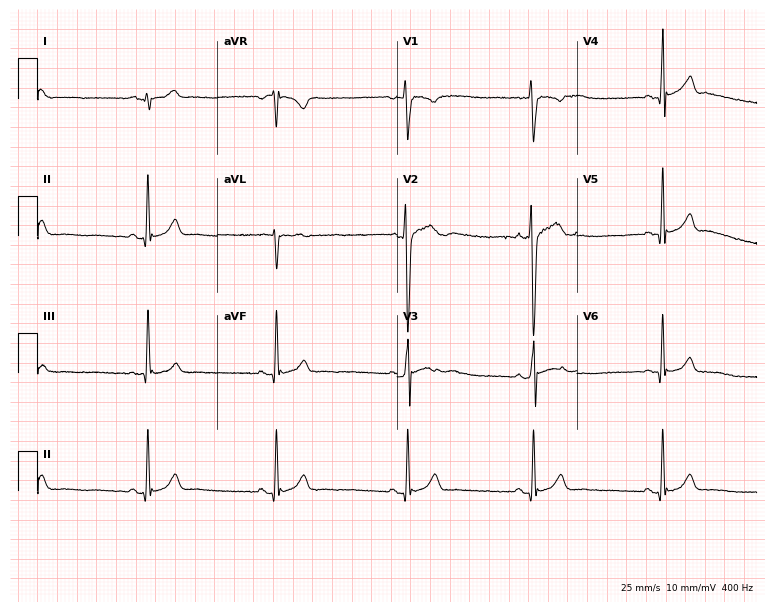
12-lead ECG from a 23-year-old male patient. Findings include sinus bradycardia (a sinus rate of 50 beats per minute or less).